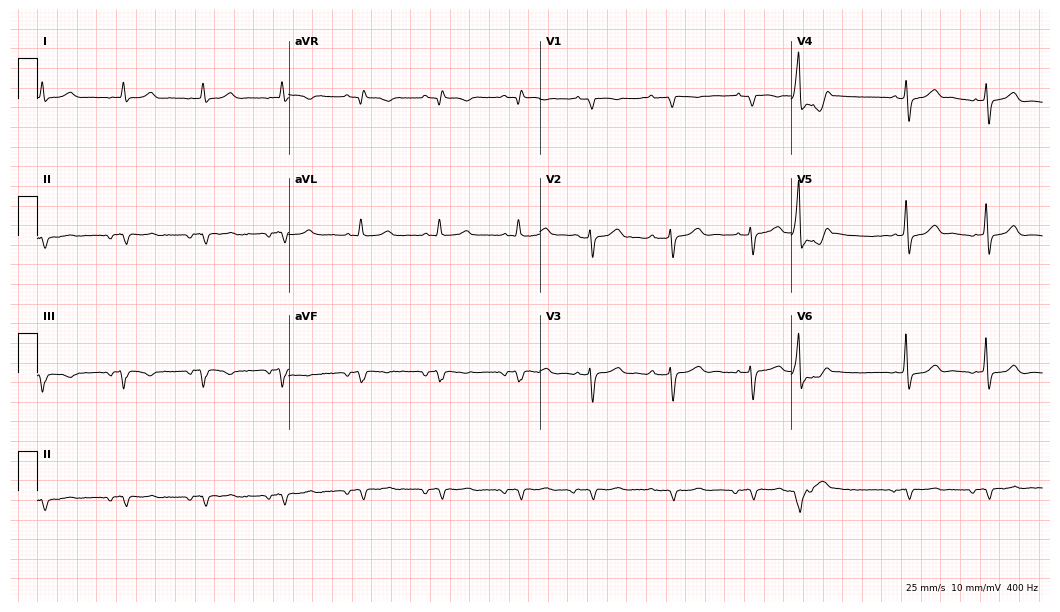
Standard 12-lead ECG recorded from a male, 79 years old. None of these six findings is recorded: first-degree AV block, right bundle branch block, left bundle branch block, sinus bradycardia, atrial fibrillation, sinus tachycardia.